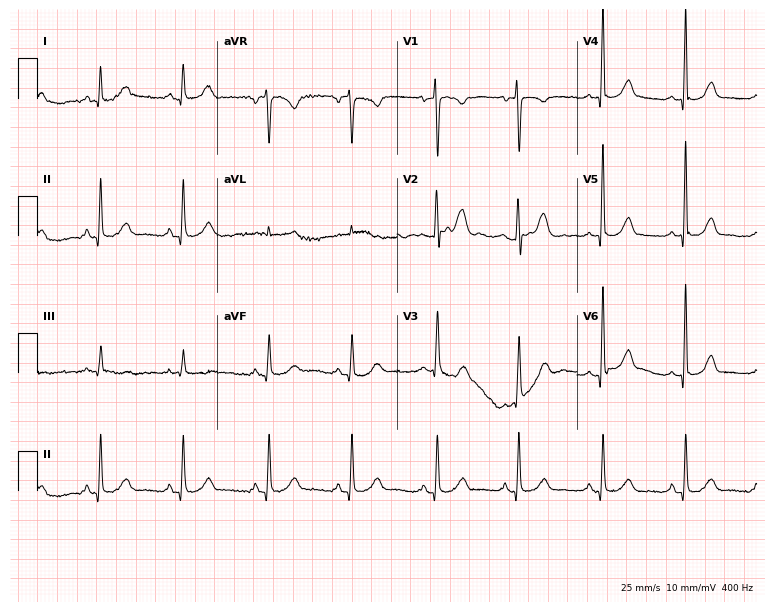
Resting 12-lead electrocardiogram. Patient: a 77-year-old woman. Read as a normal ECG.